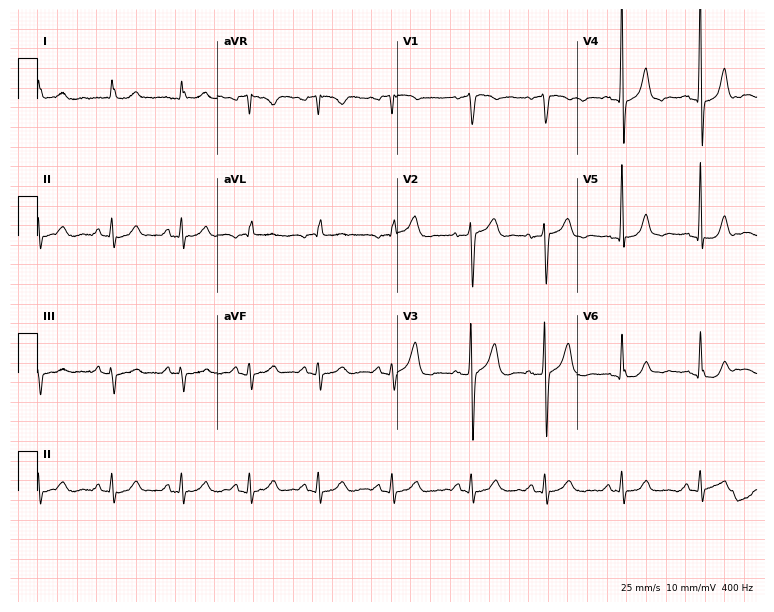
Standard 12-lead ECG recorded from a male, 71 years old. None of these six findings is recorded: first-degree AV block, right bundle branch block, left bundle branch block, sinus bradycardia, atrial fibrillation, sinus tachycardia. Only these six findings were labelled.